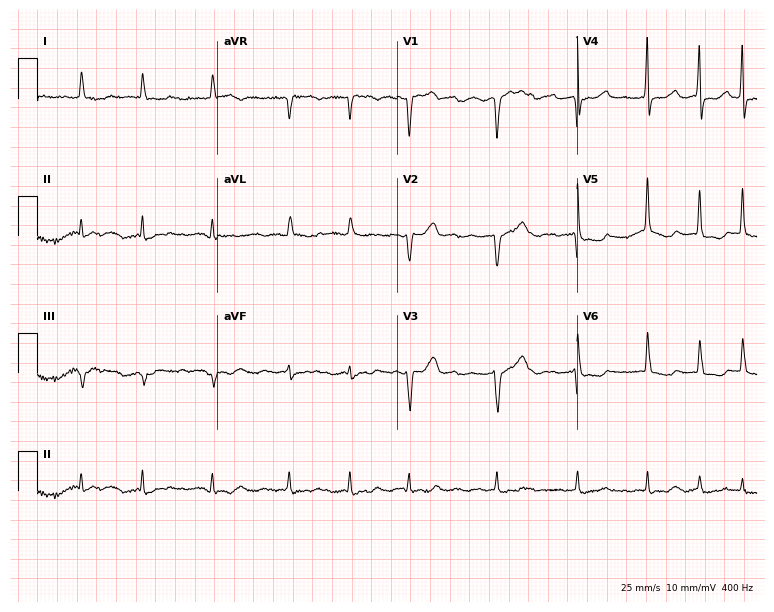
12-lead ECG from a 66-year-old female (7.3-second recording at 400 Hz). No first-degree AV block, right bundle branch block, left bundle branch block, sinus bradycardia, atrial fibrillation or sinus tachycardia recorded for this tracing.